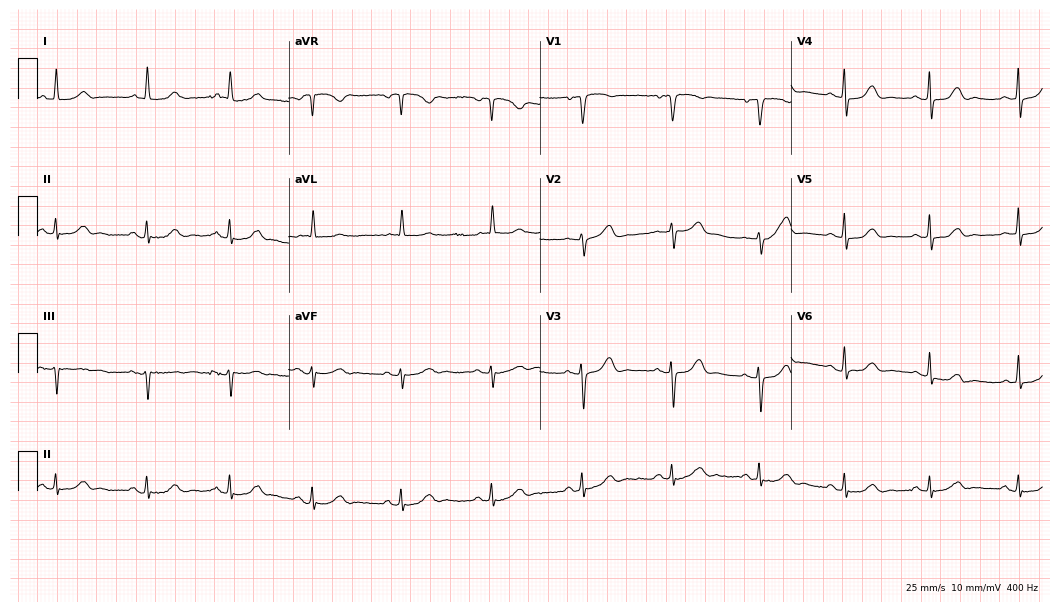
ECG (10.2-second recording at 400 Hz) — an 83-year-old woman. Screened for six findings — first-degree AV block, right bundle branch block, left bundle branch block, sinus bradycardia, atrial fibrillation, sinus tachycardia — none is recorded.